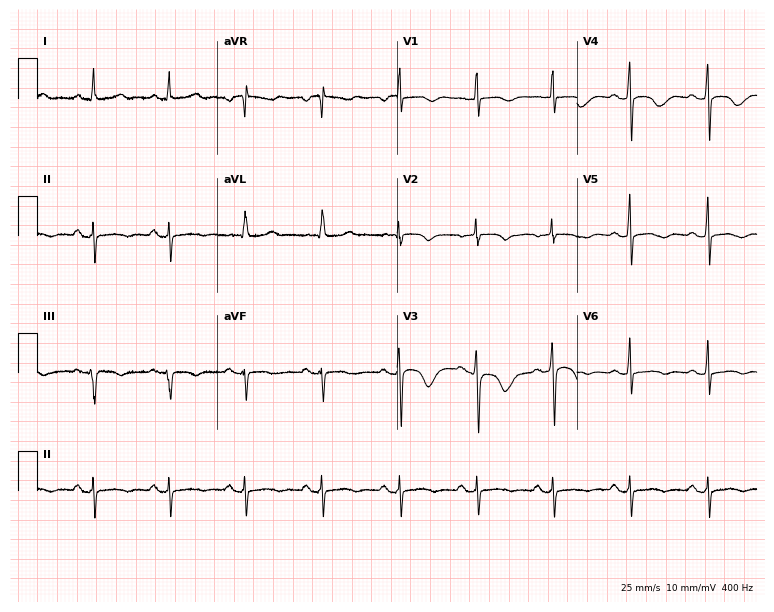
12-lead ECG from a woman, 64 years old (7.3-second recording at 400 Hz). No first-degree AV block, right bundle branch block, left bundle branch block, sinus bradycardia, atrial fibrillation or sinus tachycardia recorded for this tracing. Other findings, if any, are not listed.